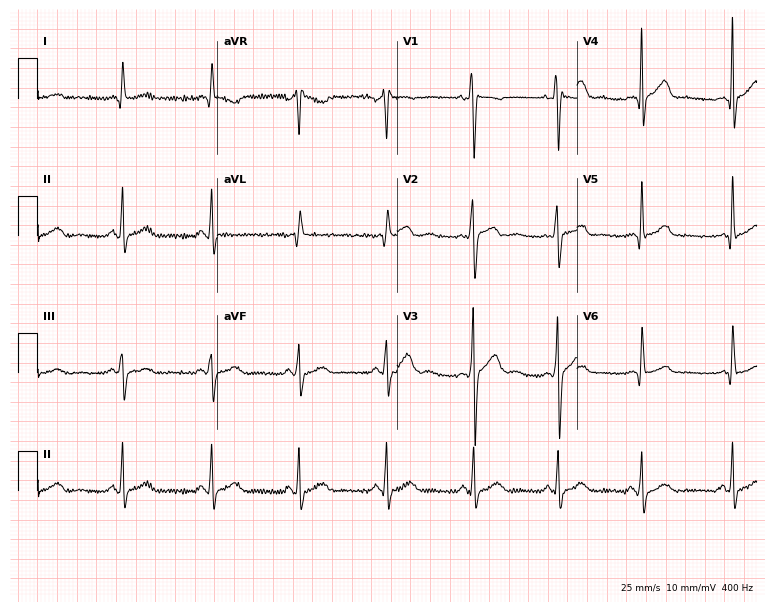
Resting 12-lead electrocardiogram (7.3-second recording at 400 Hz). Patient: a 17-year-old male. None of these six findings is recorded: first-degree AV block, right bundle branch block (RBBB), left bundle branch block (LBBB), sinus bradycardia, atrial fibrillation (AF), sinus tachycardia. Only these six findings were labelled.